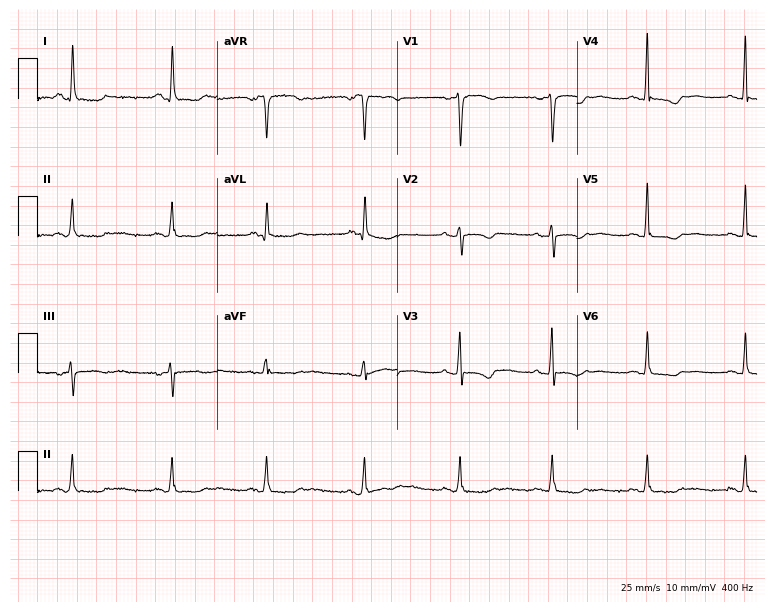
12-lead ECG (7.3-second recording at 400 Hz) from a female patient, 65 years old. Screened for six findings — first-degree AV block, right bundle branch block, left bundle branch block, sinus bradycardia, atrial fibrillation, sinus tachycardia — none is recorded.